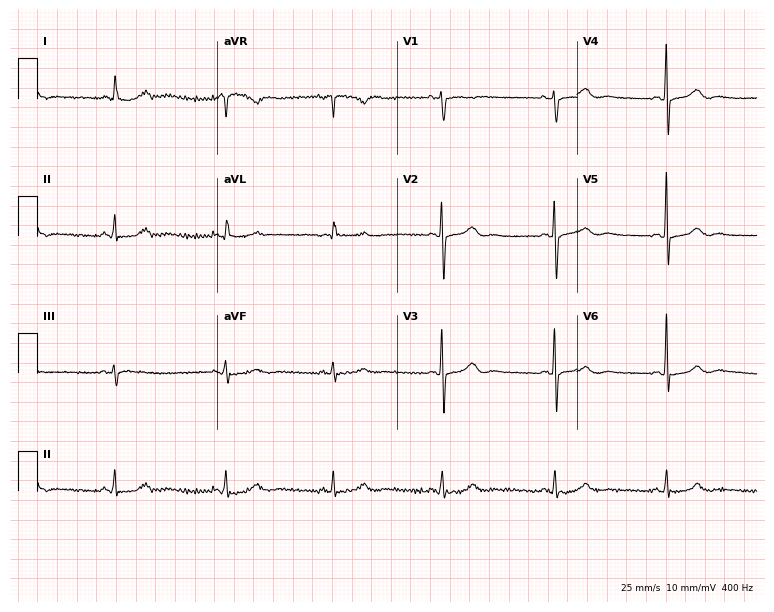
12-lead ECG from a man, 68 years old. Recorded interpretation: within normal limits.